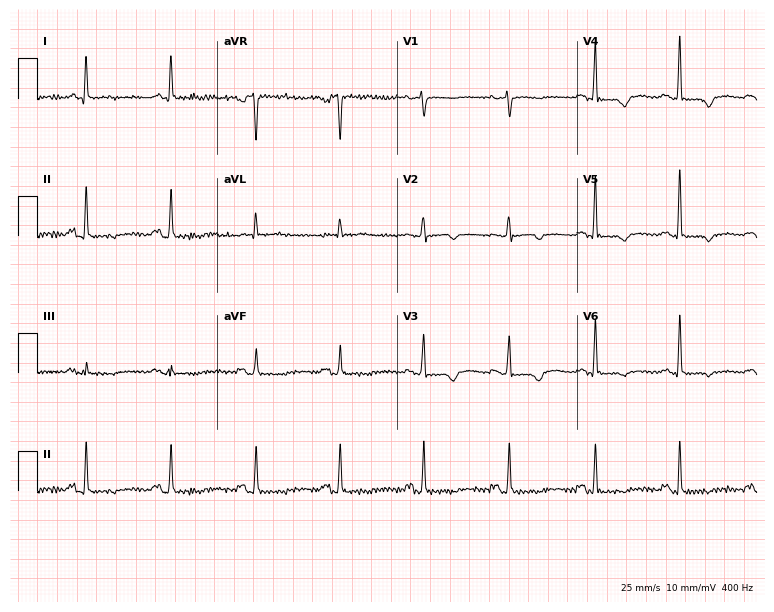
Resting 12-lead electrocardiogram (7.3-second recording at 400 Hz). Patient: a 65-year-old woman. None of these six findings is recorded: first-degree AV block, right bundle branch block, left bundle branch block, sinus bradycardia, atrial fibrillation, sinus tachycardia. Only these six findings were labelled.